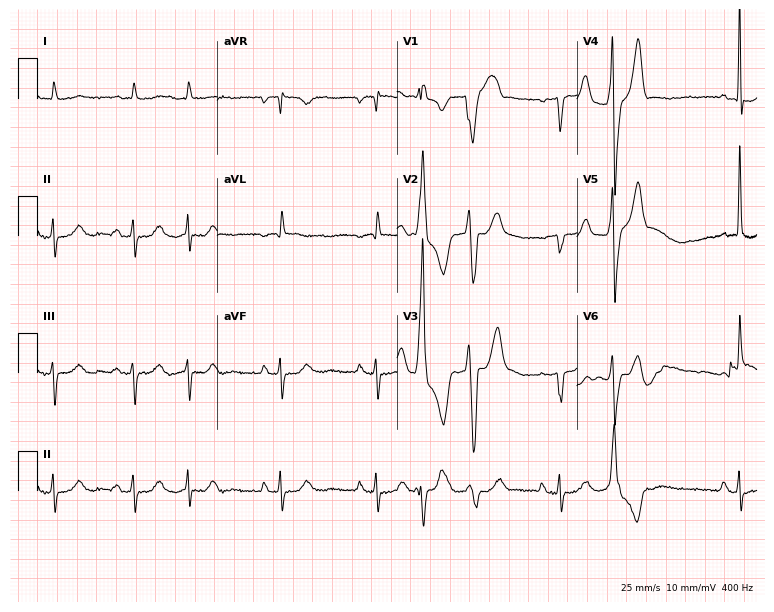
Resting 12-lead electrocardiogram. Patient: a male, 75 years old. Read as a normal ECG.